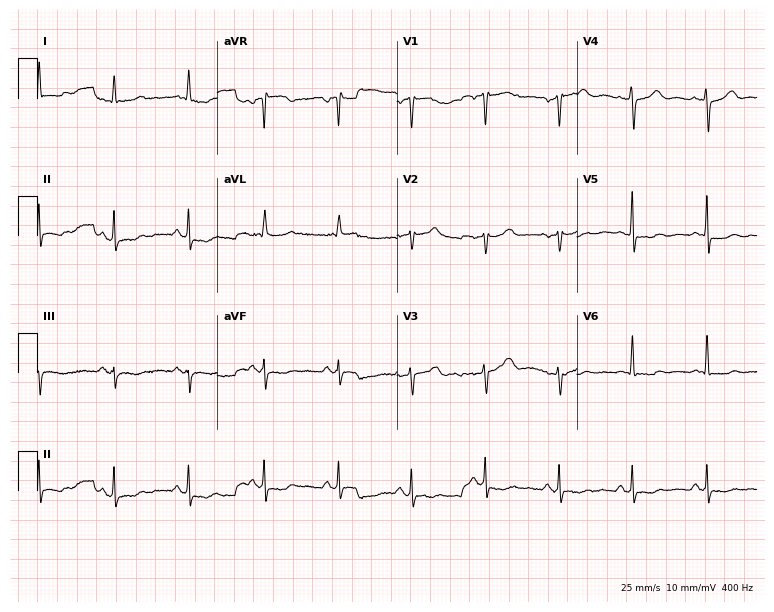
ECG — a 65-year-old female patient. Screened for six findings — first-degree AV block, right bundle branch block (RBBB), left bundle branch block (LBBB), sinus bradycardia, atrial fibrillation (AF), sinus tachycardia — none is recorded.